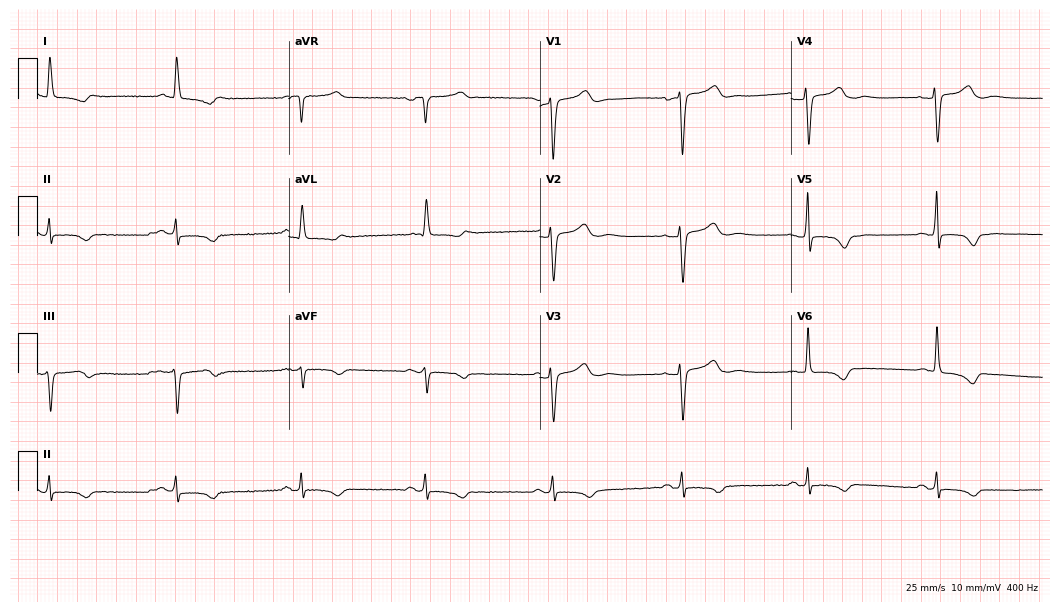
Electrocardiogram (10.2-second recording at 400 Hz), a 70-year-old woman. Of the six screened findings (first-degree AV block, right bundle branch block (RBBB), left bundle branch block (LBBB), sinus bradycardia, atrial fibrillation (AF), sinus tachycardia), none is recorded.